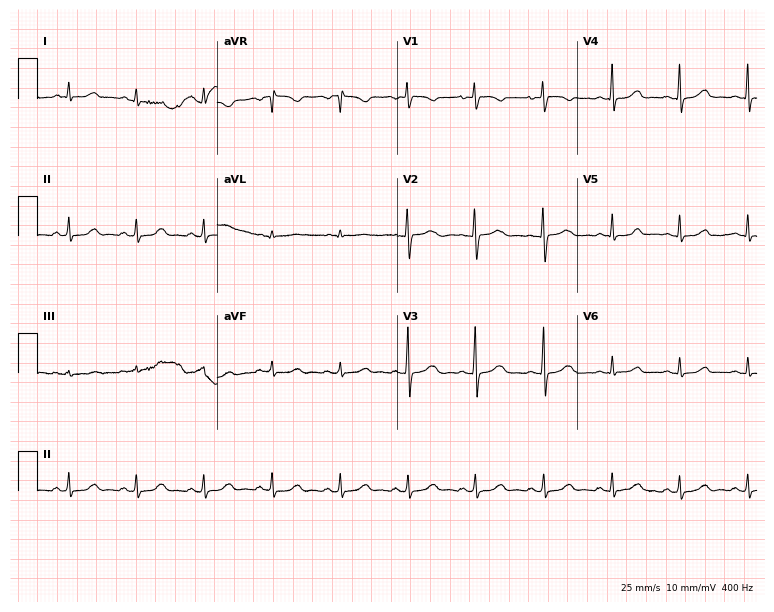
12-lead ECG from a female patient, 28 years old. Recorded interpretation: within normal limits.